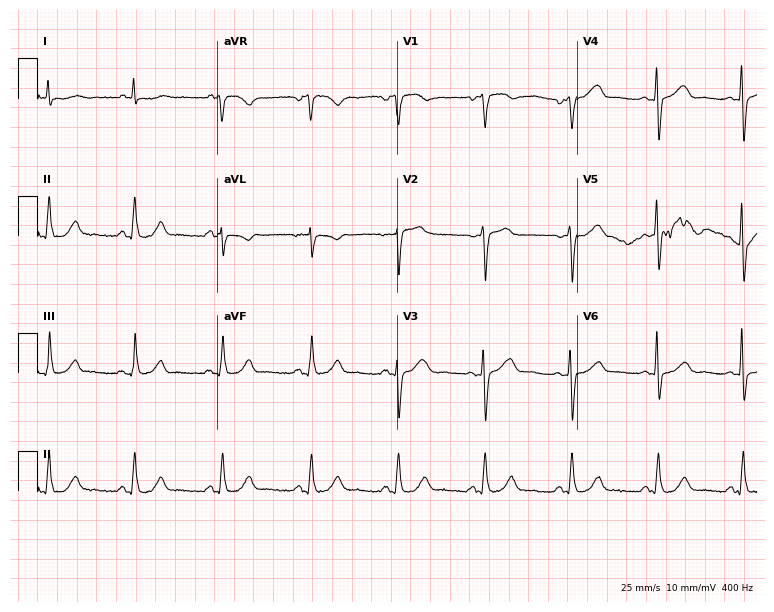
Standard 12-lead ECG recorded from a woman, 61 years old. None of these six findings is recorded: first-degree AV block, right bundle branch block (RBBB), left bundle branch block (LBBB), sinus bradycardia, atrial fibrillation (AF), sinus tachycardia.